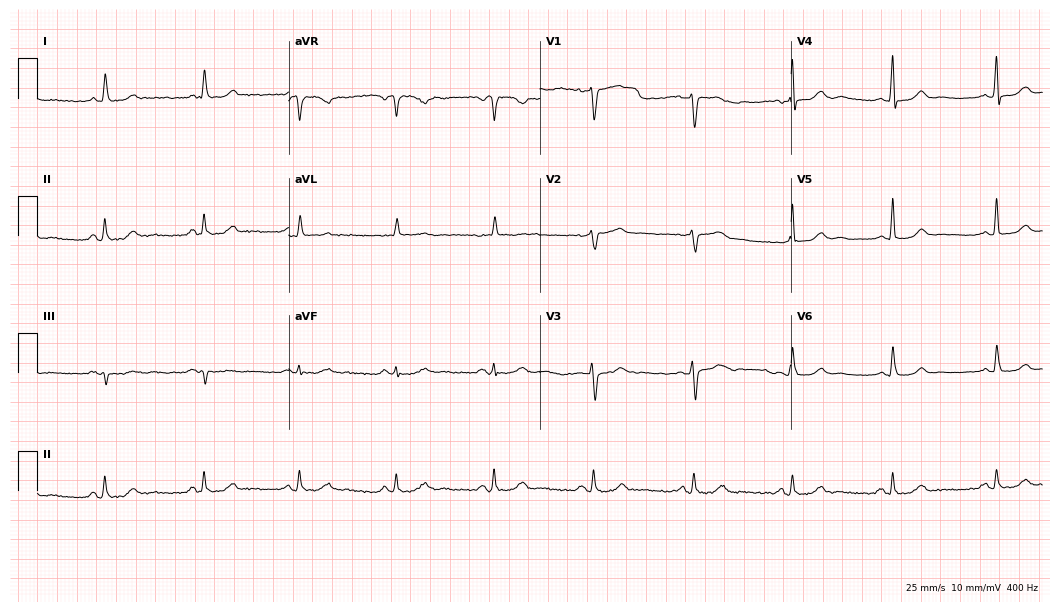
12-lead ECG (10.2-second recording at 400 Hz) from a 68-year-old female. Labelled as a normal ECG.